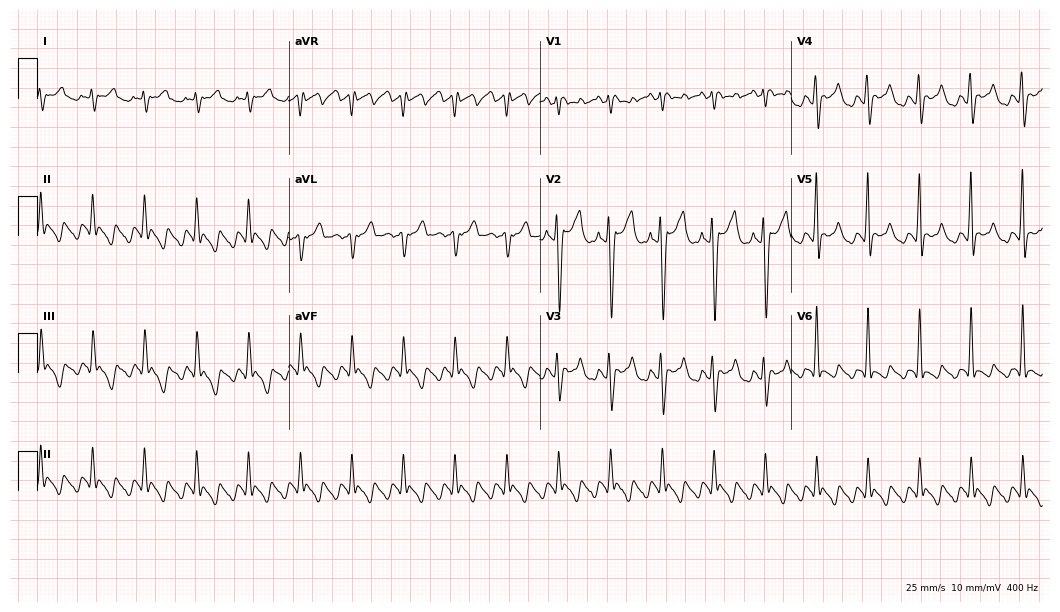
12-lead ECG from a 53-year-old male patient (10.2-second recording at 400 Hz). No first-degree AV block, right bundle branch block, left bundle branch block, sinus bradycardia, atrial fibrillation or sinus tachycardia recorded for this tracing. Only these six findings were labelled.